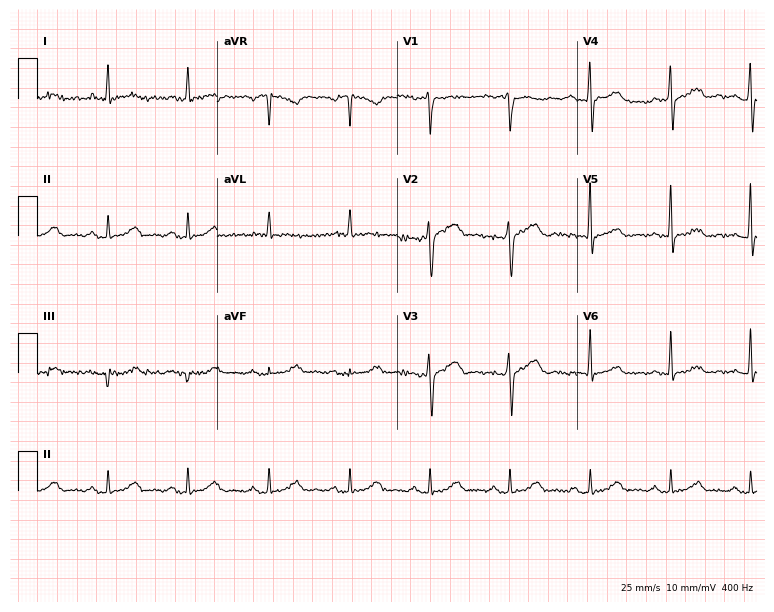
12-lead ECG from a female patient, 64 years old. Screened for six findings — first-degree AV block, right bundle branch block (RBBB), left bundle branch block (LBBB), sinus bradycardia, atrial fibrillation (AF), sinus tachycardia — none is recorded.